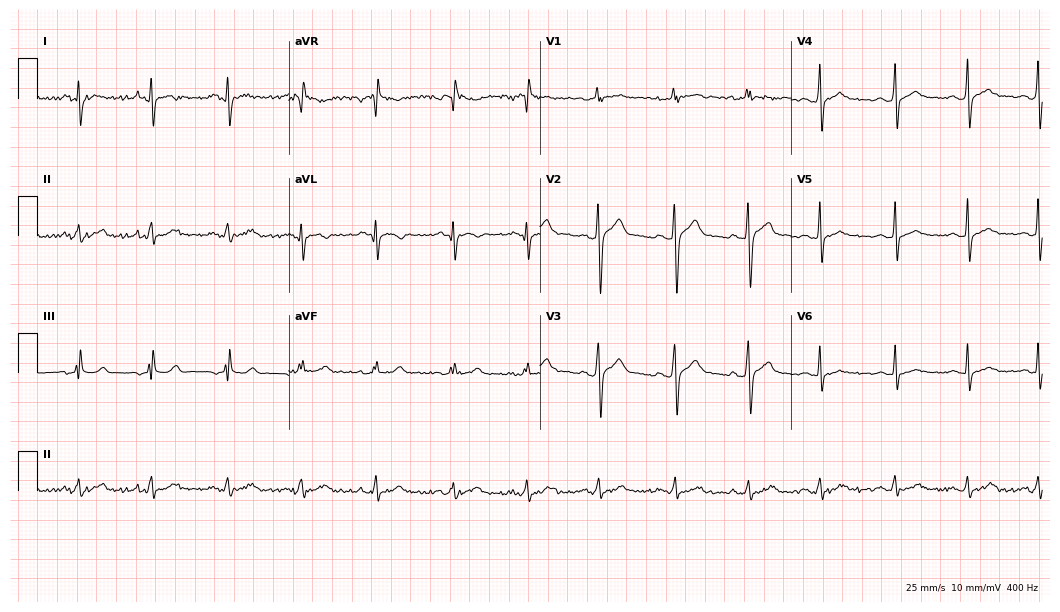
Electrocardiogram (10.2-second recording at 400 Hz), a 32-year-old male patient. Overall reading on record: normal ECG.